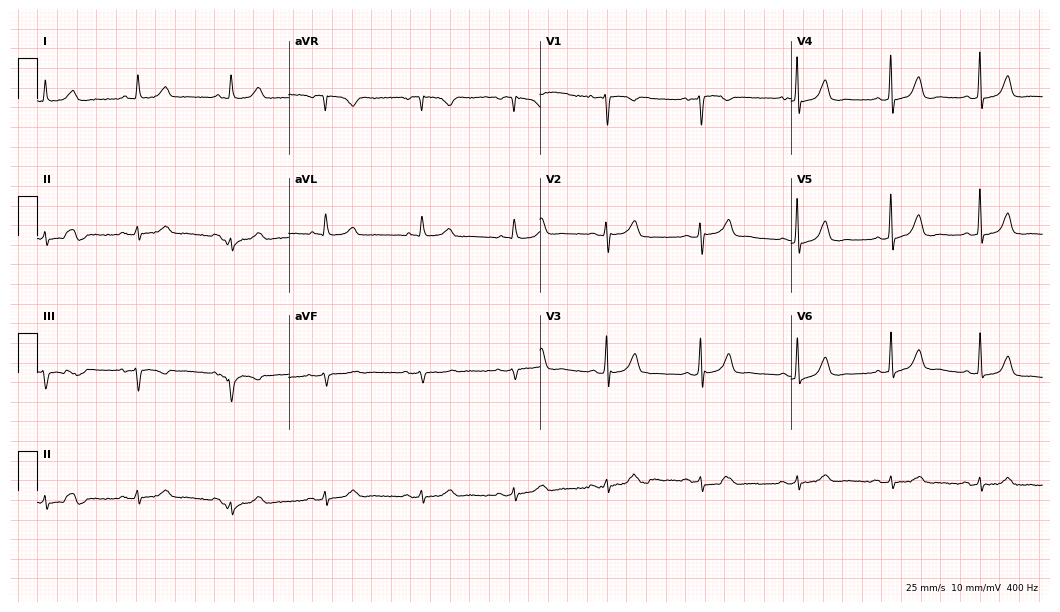
Electrocardiogram, a 48-year-old female patient. Of the six screened findings (first-degree AV block, right bundle branch block, left bundle branch block, sinus bradycardia, atrial fibrillation, sinus tachycardia), none is recorded.